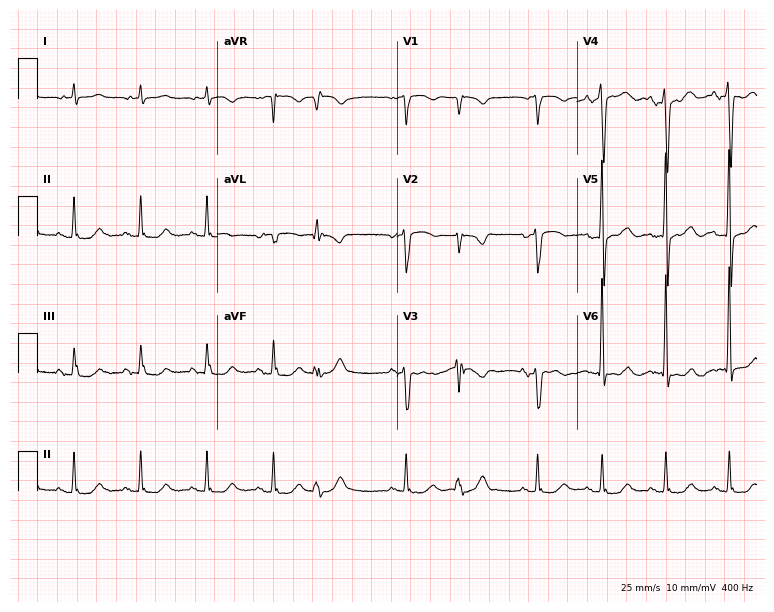
Electrocardiogram (7.3-second recording at 400 Hz), a 72-year-old male patient. Of the six screened findings (first-degree AV block, right bundle branch block (RBBB), left bundle branch block (LBBB), sinus bradycardia, atrial fibrillation (AF), sinus tachycardia), none is recorded. Other findings, if any, are not listed.